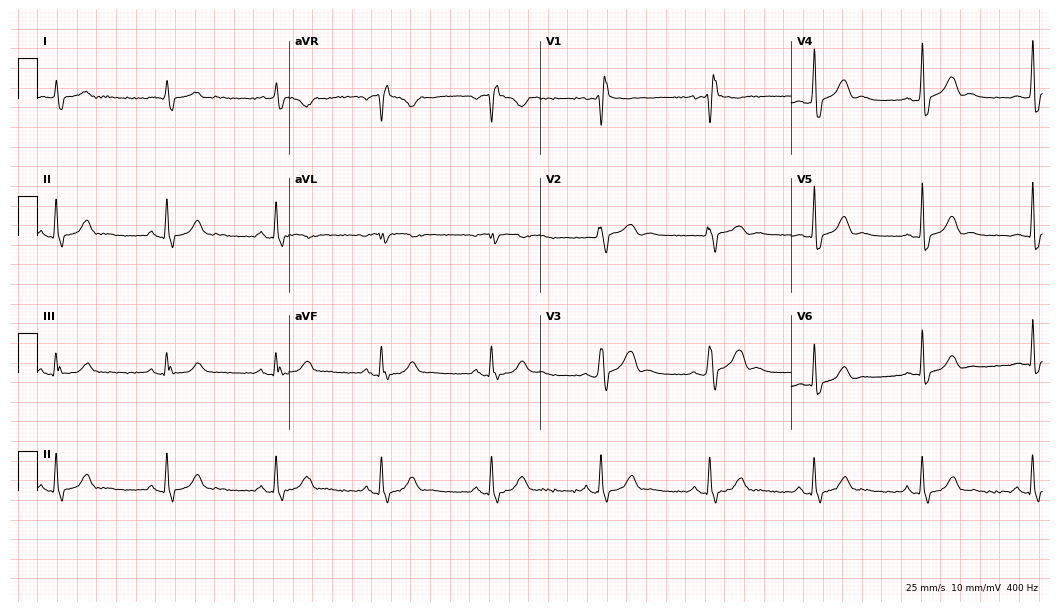
ECG (10.2-second recording at 400 Hz) — a male patient, 22 years old. Findings include right bundle branch block.